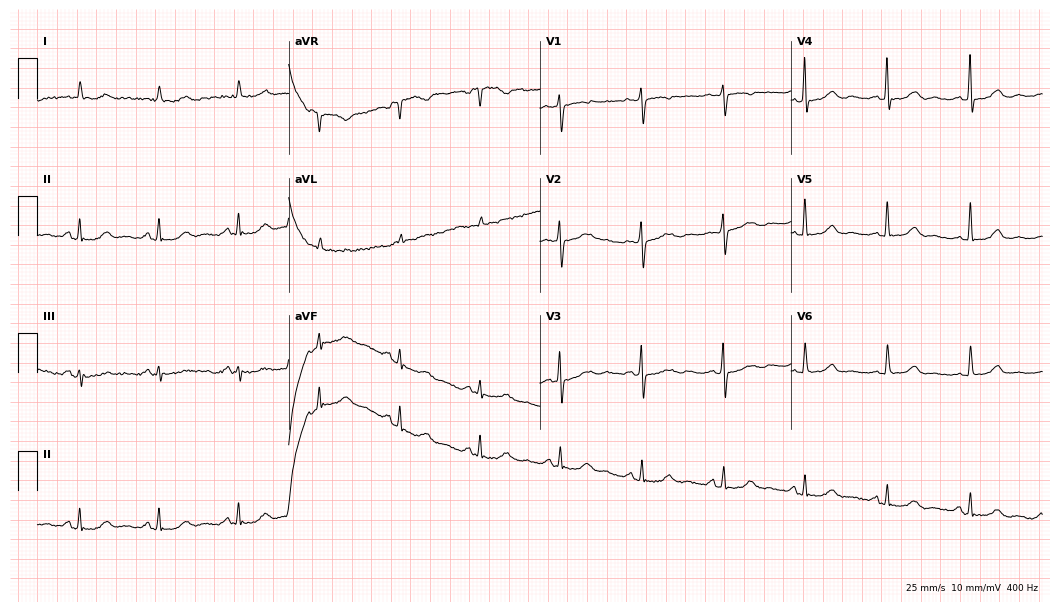
ECG (10.2-second recording at 400 Hz) — an 81-year-old female. Labelled as a normal ECG.